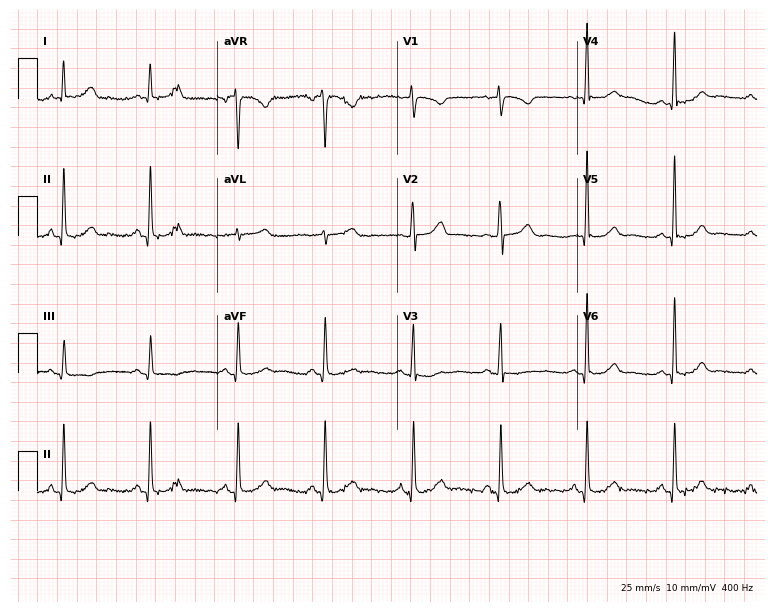
ECG (7.3-second recording at 400 Hz) — a female, 70 years old. Labelled as a normal ECG.